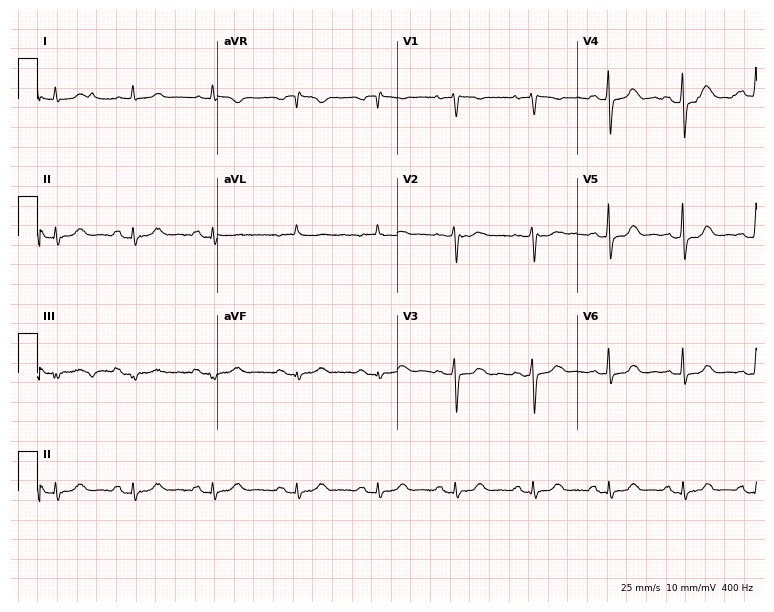
12-lead ECG from a 71-year-old woman (7.3-second recording at 400 Hz). Recorded interpretation: within normal limits.